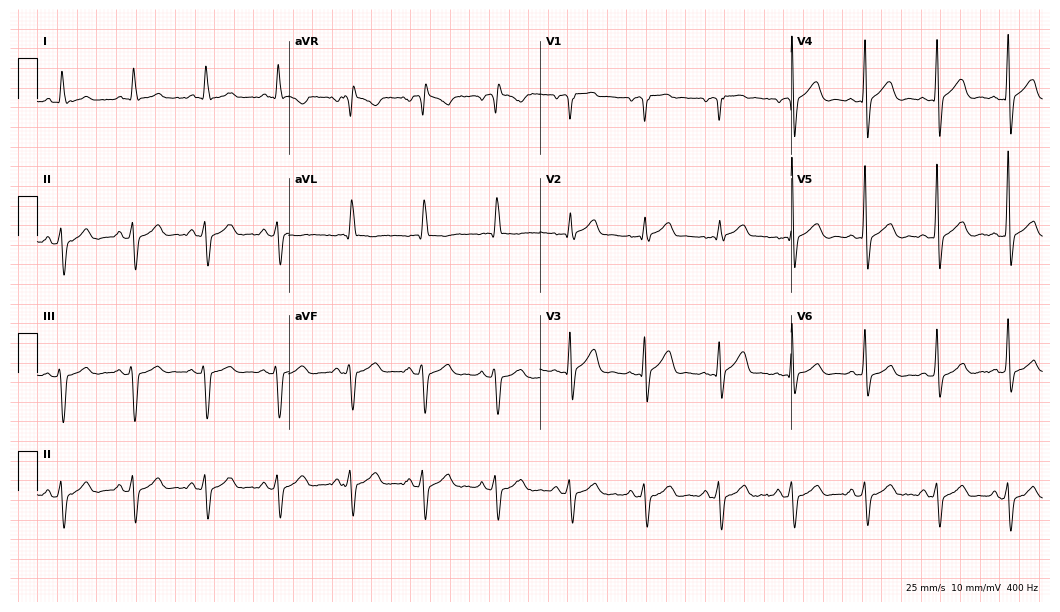
12-lead ECG from a 60-year-old male patient (10.2-second recording at 400 Hz). No first-degree AV block, right bundle branch block, left bundle branch block, sinus bradycardia, atrial fibrillation or sinus tachycardia recorded for this tracing. Only these six findings were labelled.